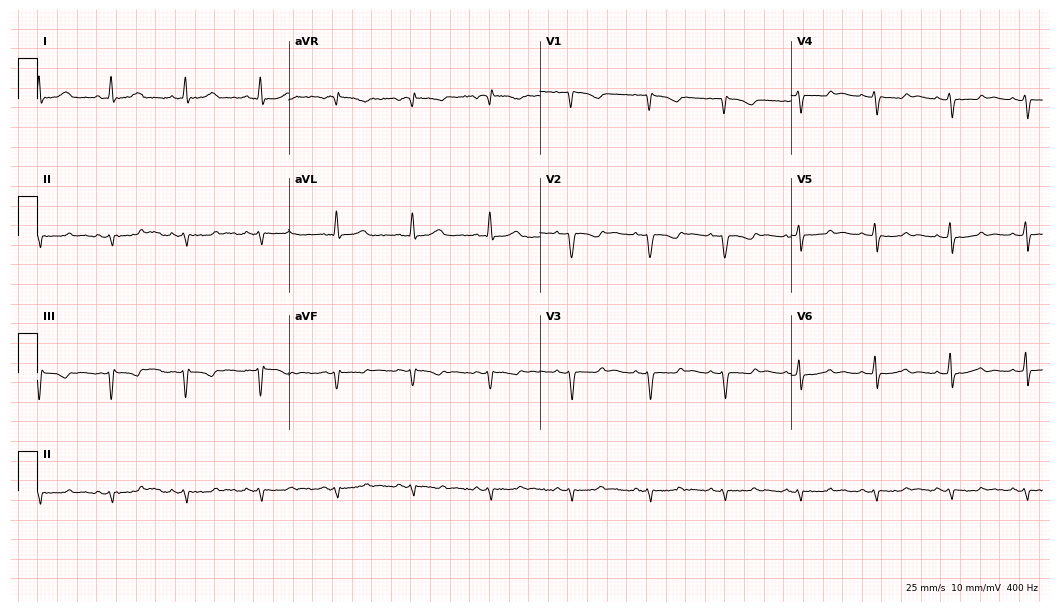
12-lead ECG from a 46-year-old woman. No first-degree AV block, right bundle branch block, left bundle branch block, sinus bradycardia, atrial fibrillation or sinus tachycardia recorded for this tracing.